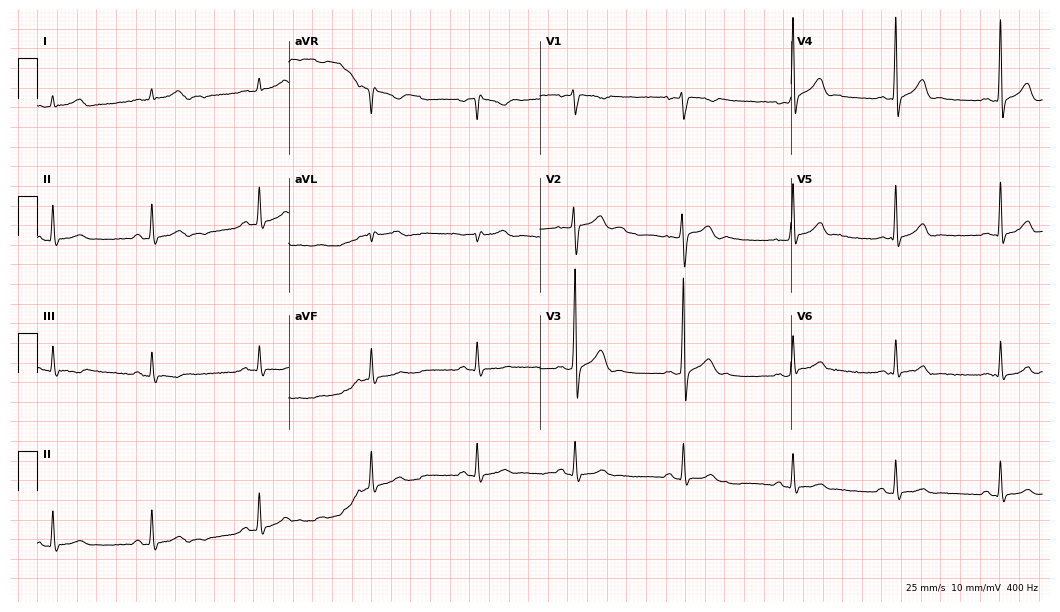
Electrocardiogram (10.2-second recording at 400 Hz), a 22-year-old male. Overall reading on record: normal ECG.